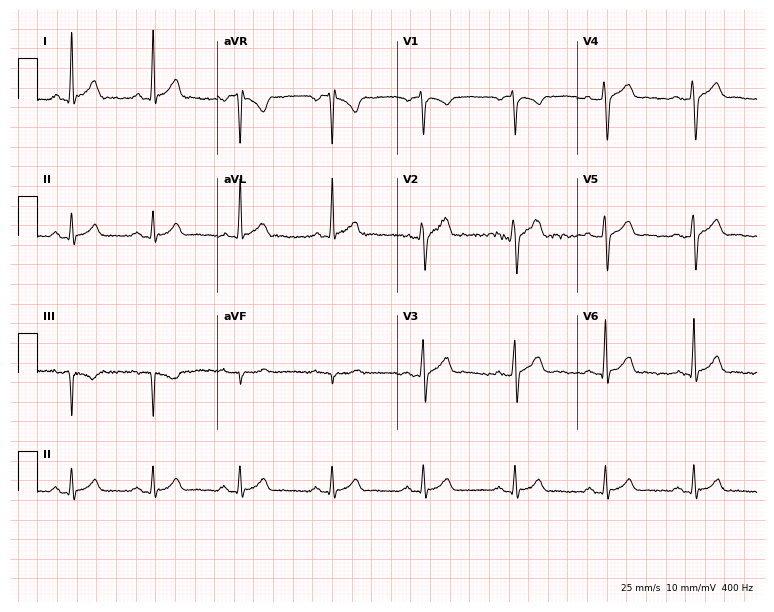
ECG — a man, 38 years old. Labelled as a normal ECG.